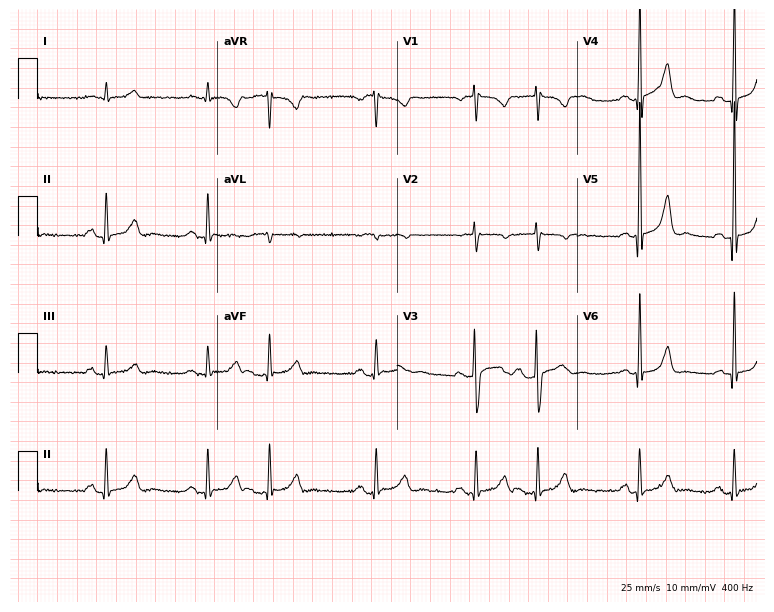
Resting 12-lead electrocardiogram. Patient: a man, 63 years old. None of these six findings is recorded: first-degree AV block, right bundle branch block, left bundle branch block, sinus bradycardia, atrial fibrillation, sinus tachycardia. Findings outside these six are not listed.